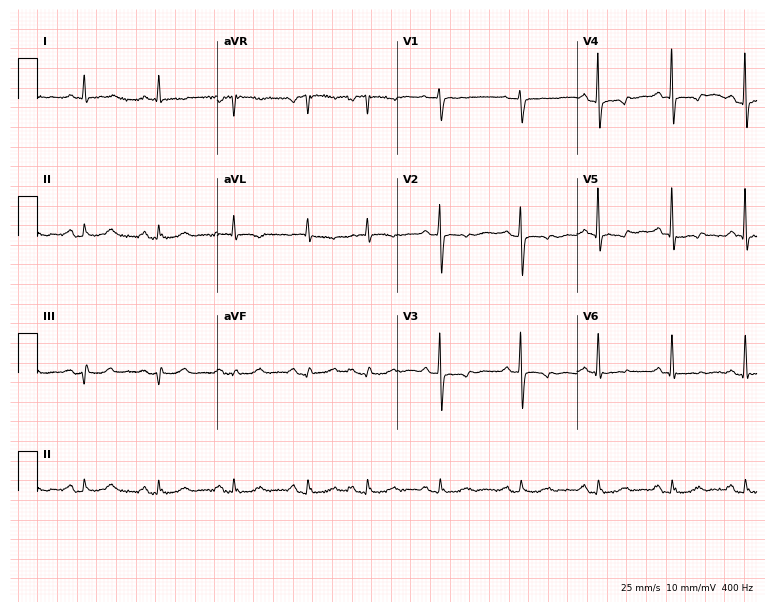
Electrocardiogram, a 78-year-old female. Of the six screened findings (first-degree AV block, right bundle branch block (RBBB), left bundle branch block (LBBB), sinus bradycardia, atrial fibrillation (AF), sinus tachycardia), none is recorded.